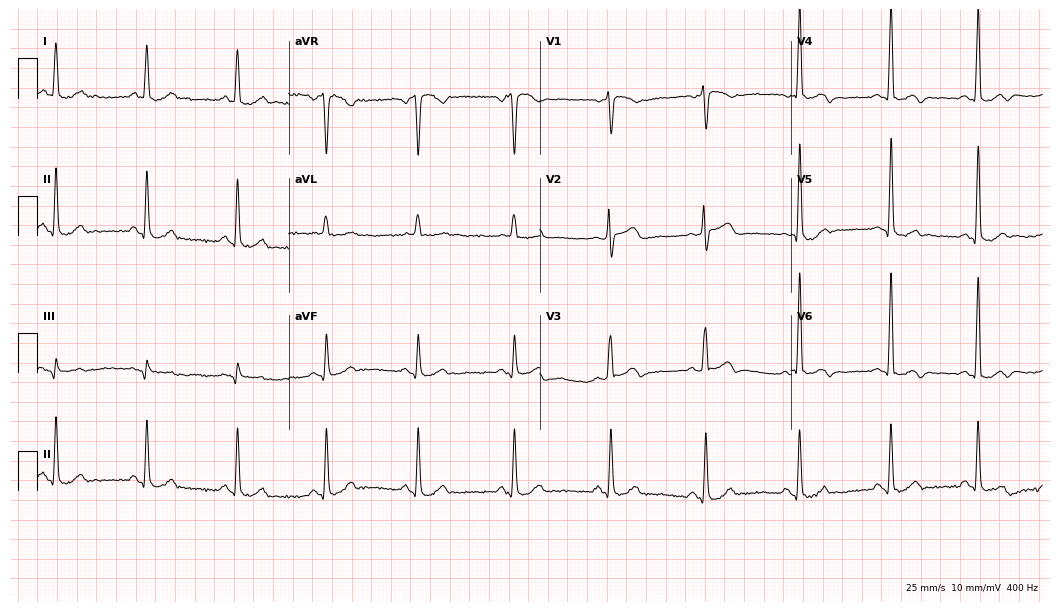
12-lead ECG from a 73-year-old male. Screened for six findings — first-degree AV block, right bundle branch block, left bundle branch block, sinus bradycardia, atrial fibrillation, sinus tachycardia — none is recorded. Other findings, if any, are not listed.